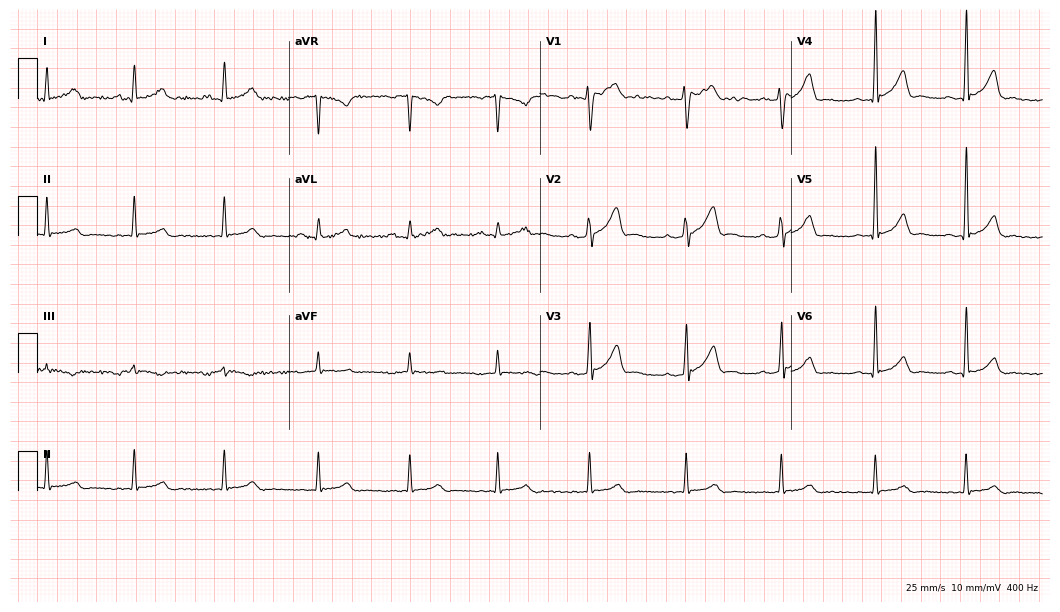
Resting 12-lead electrocardiogram. Patient: a man, 38 years old. None of these six findings is recorded: first-degree AV block, right bundle branch block, left bundle branch block, sinus bradycardia, atrial fibrillation, sinus tachycardia.